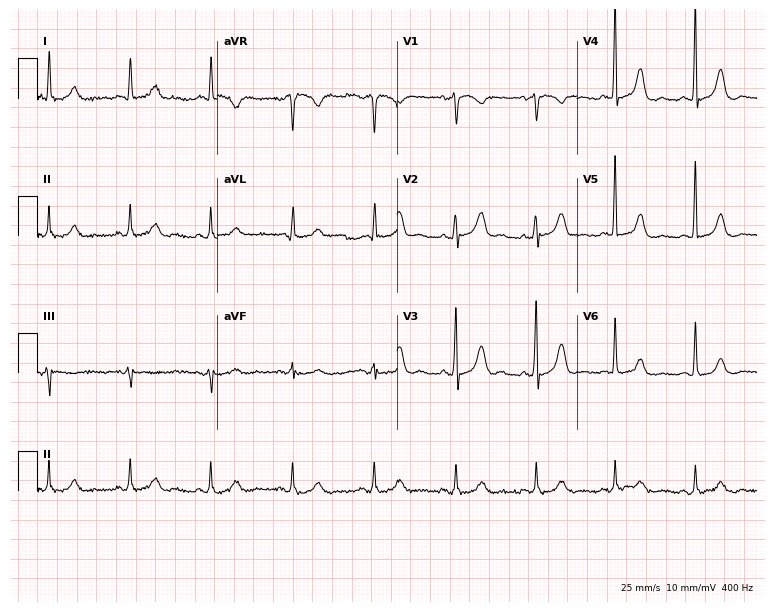
Resting 12-lead electrocardiogram (7.3-second recording at 400 Hz). Patient: an 83-year-old female. None of these six findings is recorded: first-degree AV block, right bundle branch block, left bundle branch block, sinus bradycardia, atrial fibrillation, sinus tachycardia.